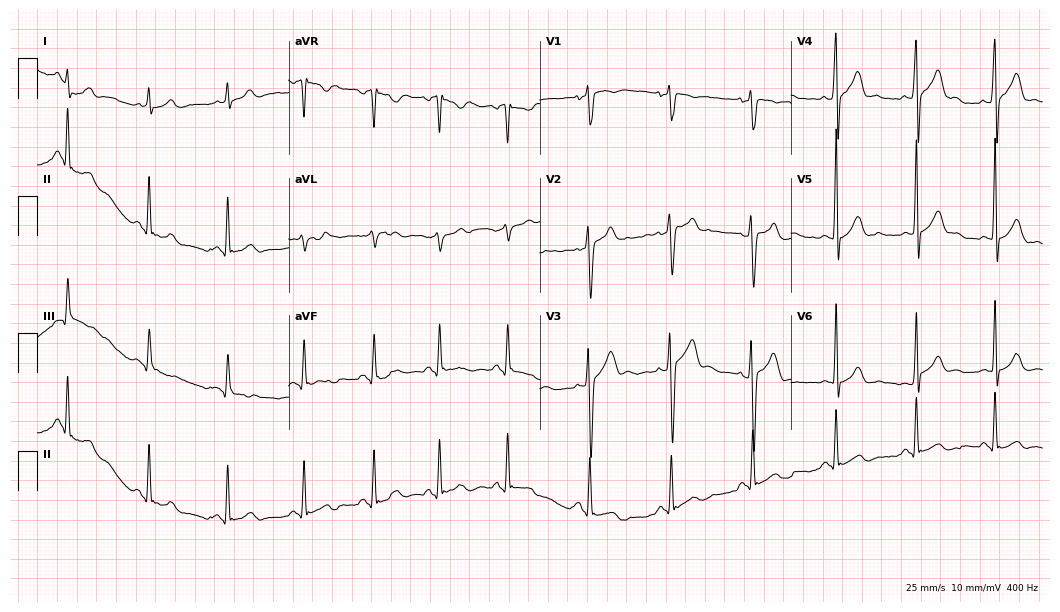
Standard 12-lead ECG recorded from a 22-year-old male. Read as a normal ECG.